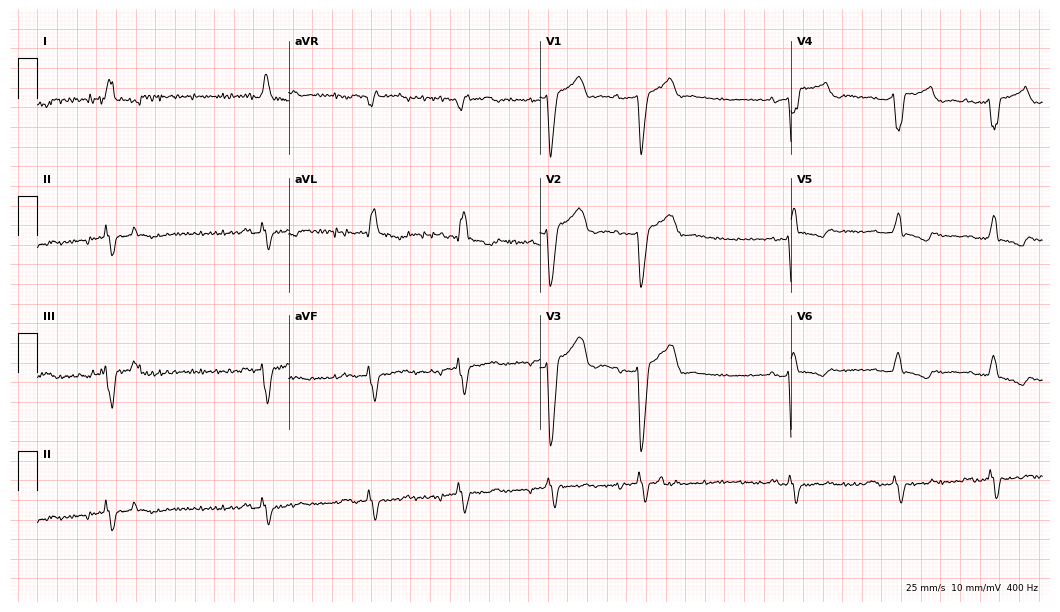
12-lead ECG from a 74-year-old male. Shows left bundle branch block, atrial fibrillation.